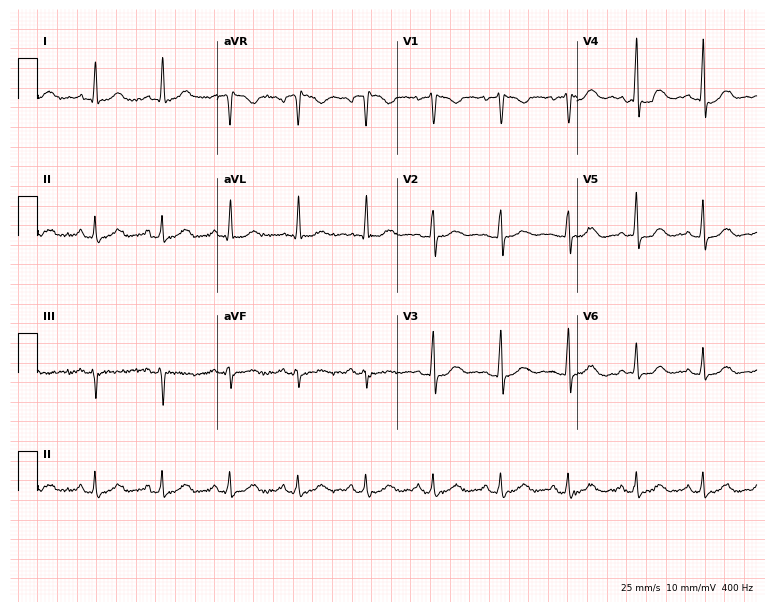
12-lead ECG (7.3-second recording at 400 Hz) from a woman, 59 years old. Labelled as a normal ECG.